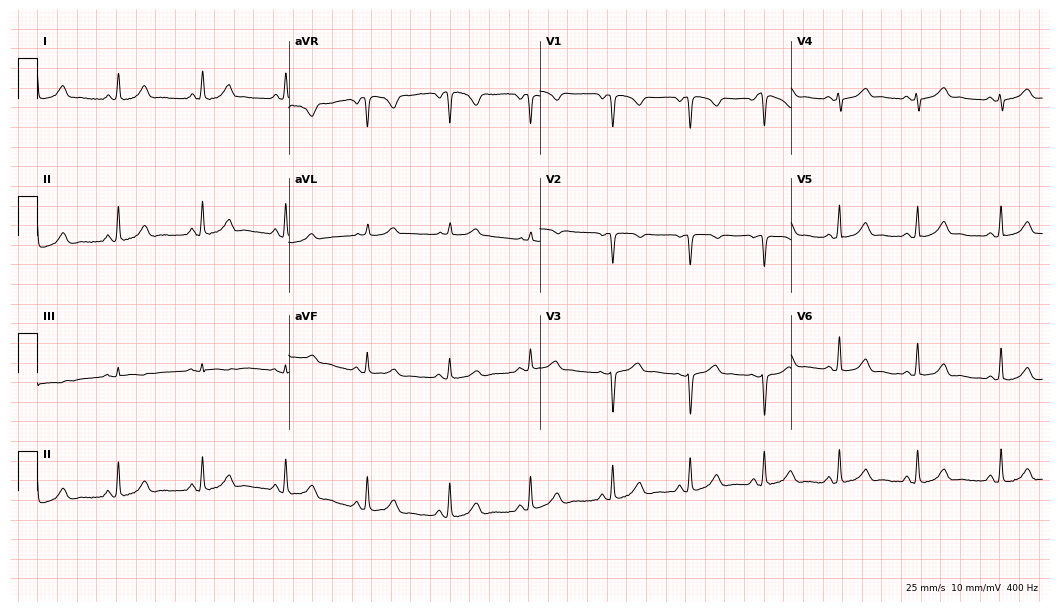
Standard 12-lead ECG recorded from a 37-year-old female. Read as a normal ECG.